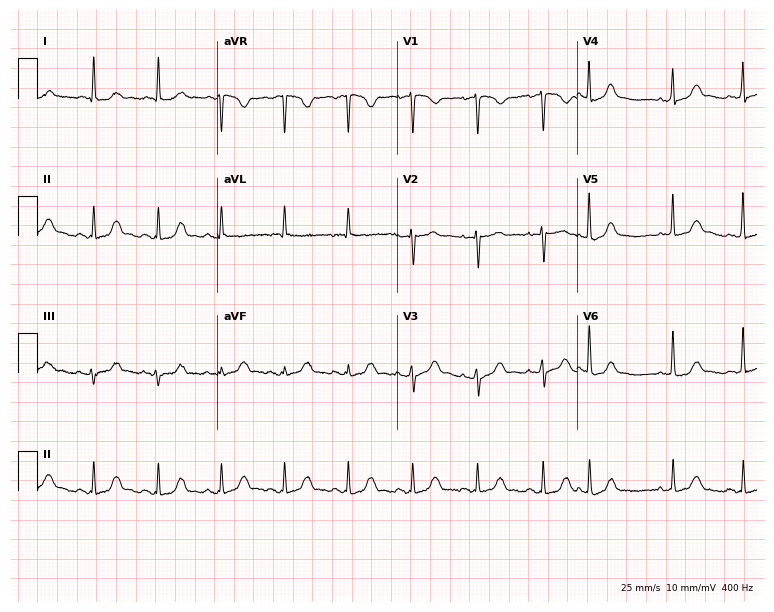
ECG — a female, 75 years old. Screened for six findings — first-degree AV block, right bundle branch block, left bundle branch block, sinus bradycardia, atrial fibrillation, sinus tachycardia — none is recorded.